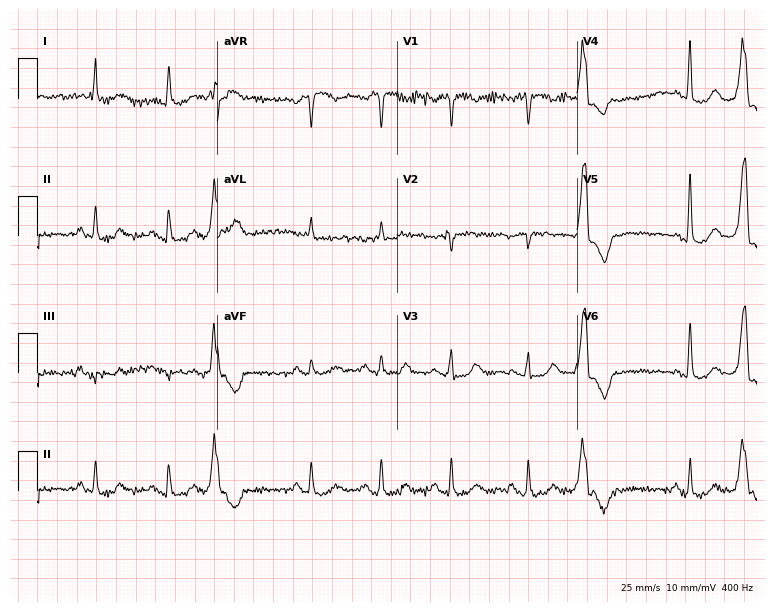
Electrocardiogram, a female patient, 70 years old. Of the six screened findings (first-degree AV block, right bundle branch block (RBBB), left bundle branch block (LBBB), sinus bradycardia, atrial fibrillation (AF), sinus tachycardia), none is recorded.